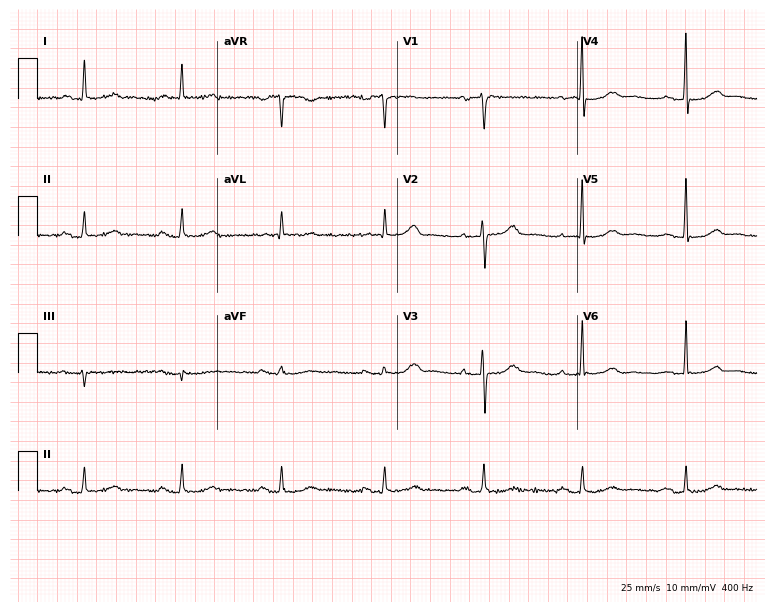
Resting 12-lead electrocardiogram (7.3-second recording at 400 Hz). Patient: a 78-year-old woman. The tracing shows first-degree AV block.